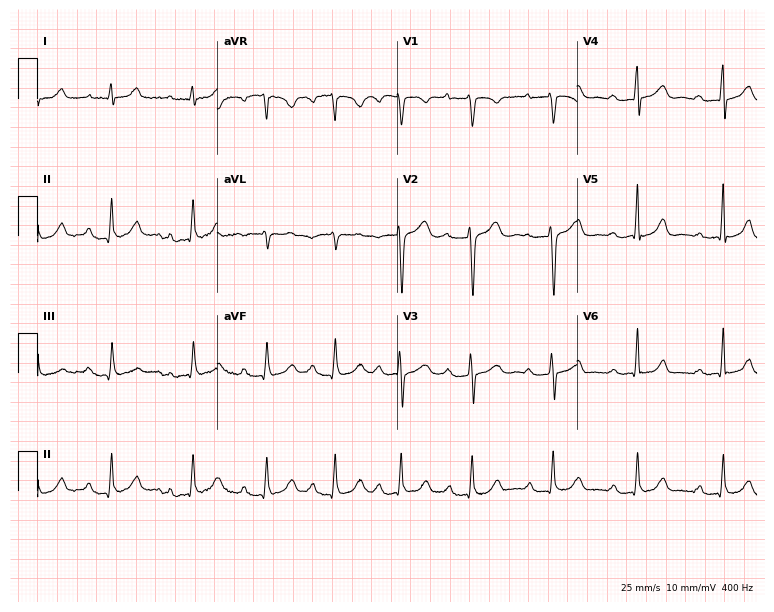
Electrocardiogram, a woman, 26 years old. Interpretation includes first-degree AV block.